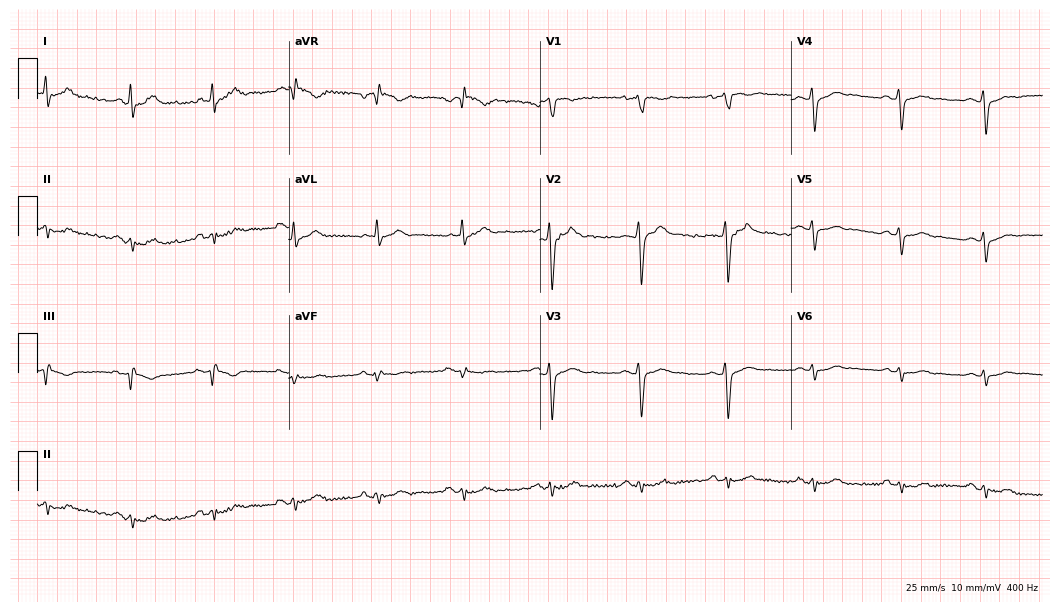
Resting 12-lead electrocardiogram. Patient: a 55-year-old man. None of these six findings is recorded: first-degree AV block, right bundle branch block, left bundle branch block, sinus bradycardia, atrial fibrillation, sinus tachycardia.